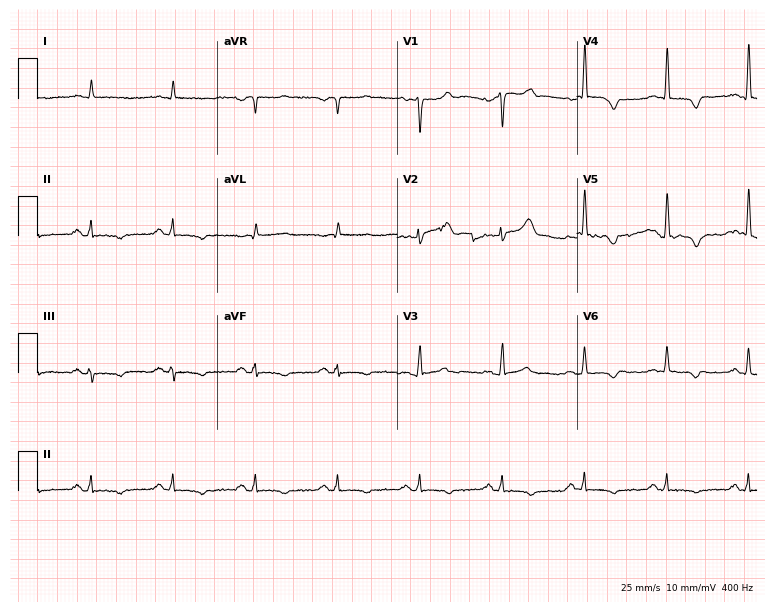
Resting 12-lead electrocardiogram (7.3-second recording at 400 Hz). Patient: a male, 60 years old. None of these six findings is recorded: first-degree AV block, right bundle branch block, left bundle branch block, sinus bradycardia, atrial fibrillation, sinus tachycardia. Only these six findings were labelled.